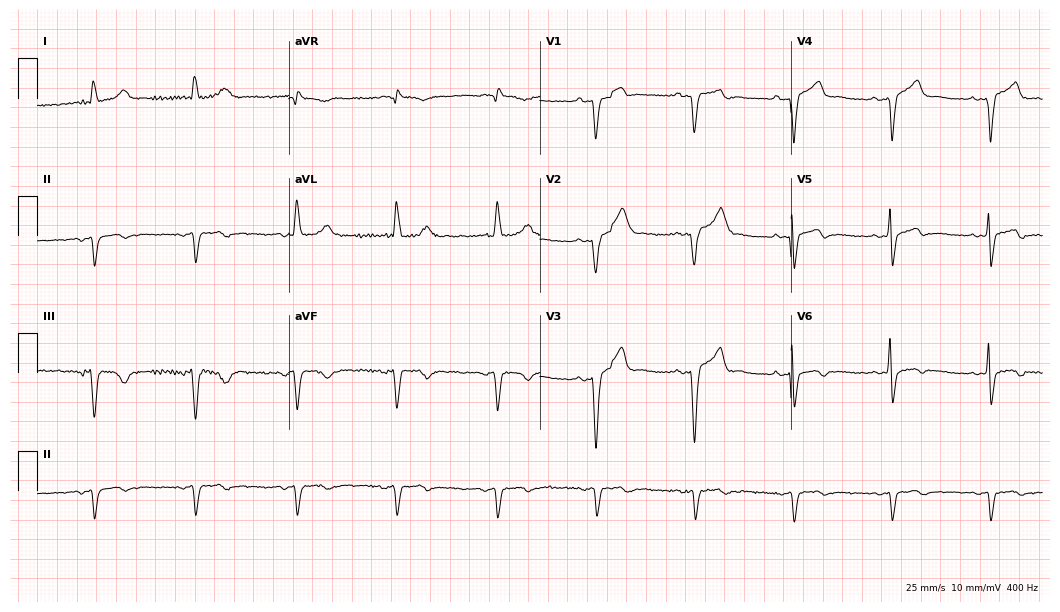
Standard 12-lead ECG recorded from a man, 62 years old. None of these six findings is recorded: first-degree AV block, right bundle branch block (RBBB), left bundle branch block (LBBB), sinus bradycardia, atrial fibrillation (AF), sinus tachycardia.